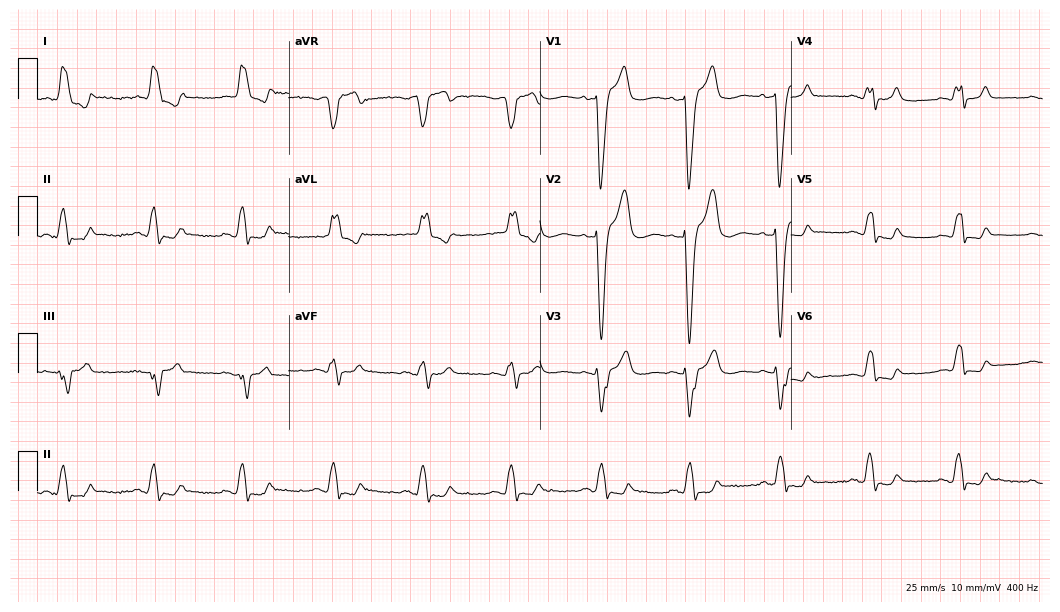
Resting 12-lead electrocardiogram. Patient: an 80-year-old female. The tracing shows left bundle branch block (LBBB).